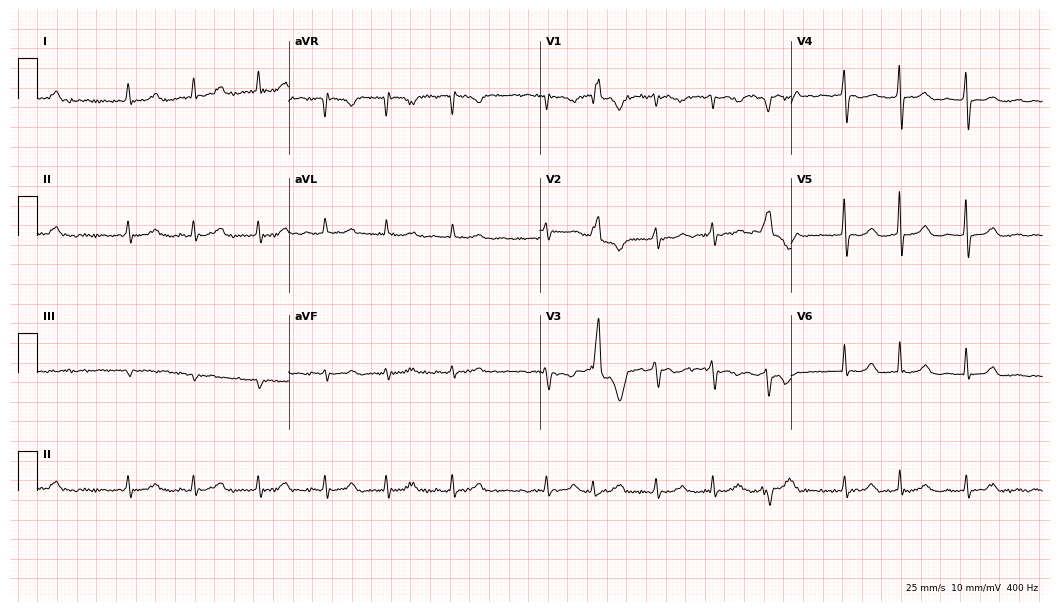
Electrocardiogram, a female, 67 years old. Interpretation includes atrial fibrillation (AF).